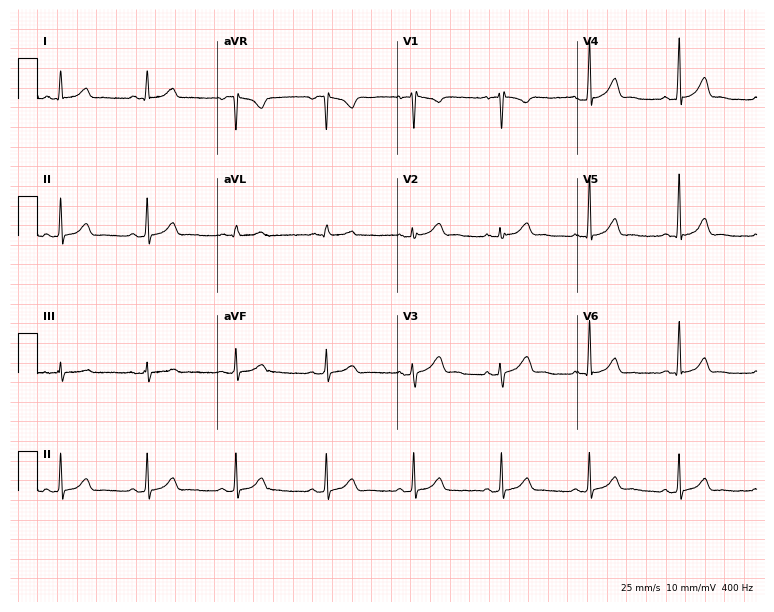
Resting 12-lead electrocardiogram. Patient: a woman, 32 years old. None of these six findings is recorded: first-degree AV block, right bundle branch block, left bundle branch block, sinus bradycardia, atrial fibrillation, sinus tachycardia. Other findings, if any, are not listed.